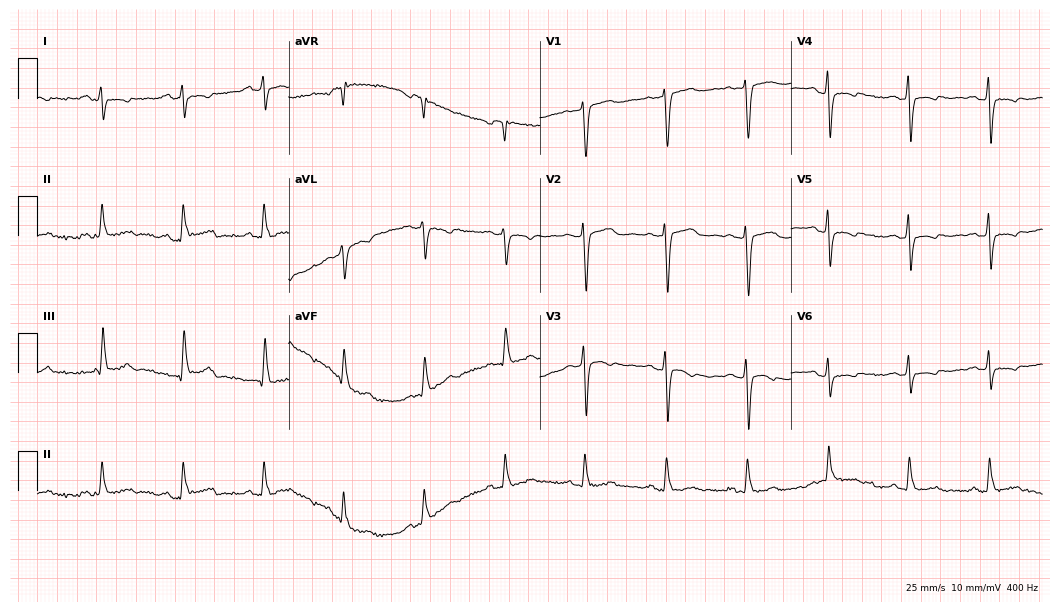
ECG (10.2-second recording at 400 Hz) — a female, 63 years old. Screened for six findings — first-degree AV block, right bundle branch block, left bundle branch block, sinus bradycardia, atrial fibrillation, sinus tachycardia — none is recorded.